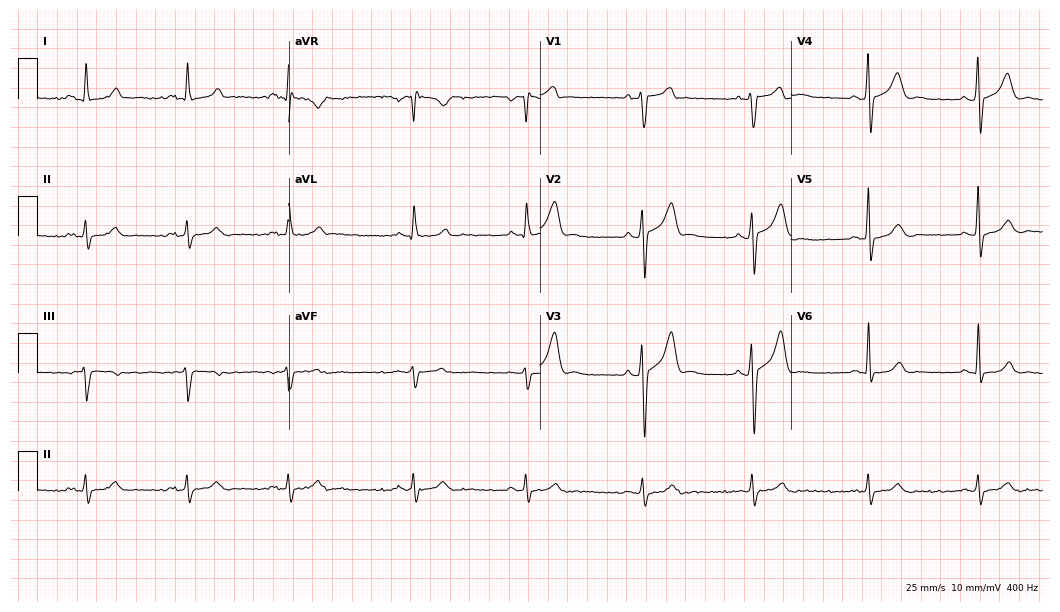
Standard 12-lead ECG recorded from a male patient, 69 years old. Read as a normal ECG.